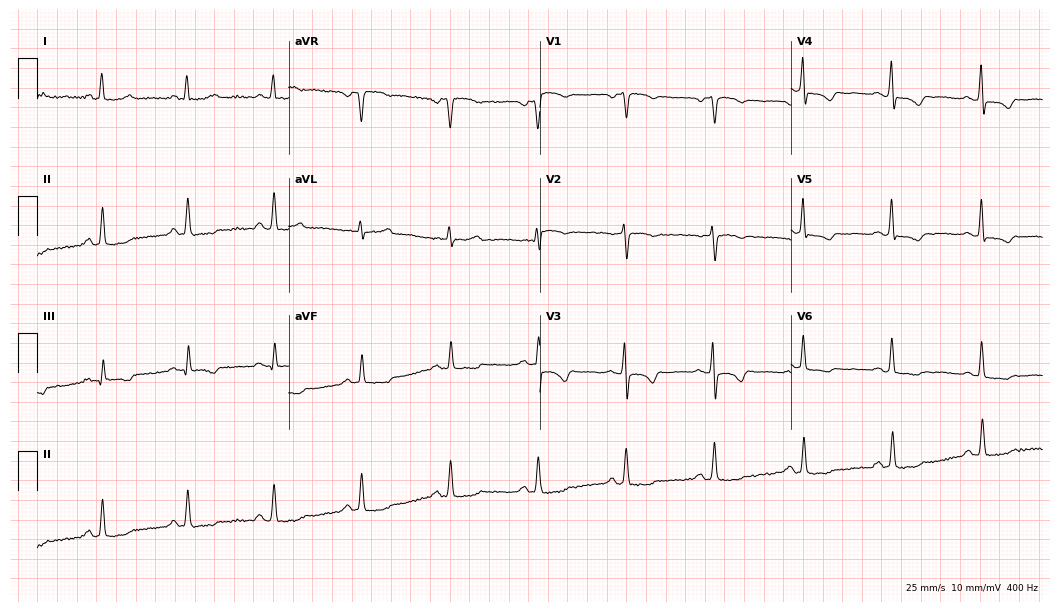
Electrocardiogram (10.2-second recording at 400 Hz), a female patient, 60 years old. Of the six screened findings (first-degree AV block, right bundle branch block, left bundle branch block, sinus bradycardia, atrial fibrillation, sinus tachycardia), none is recorded. Only these six findings were labelled.